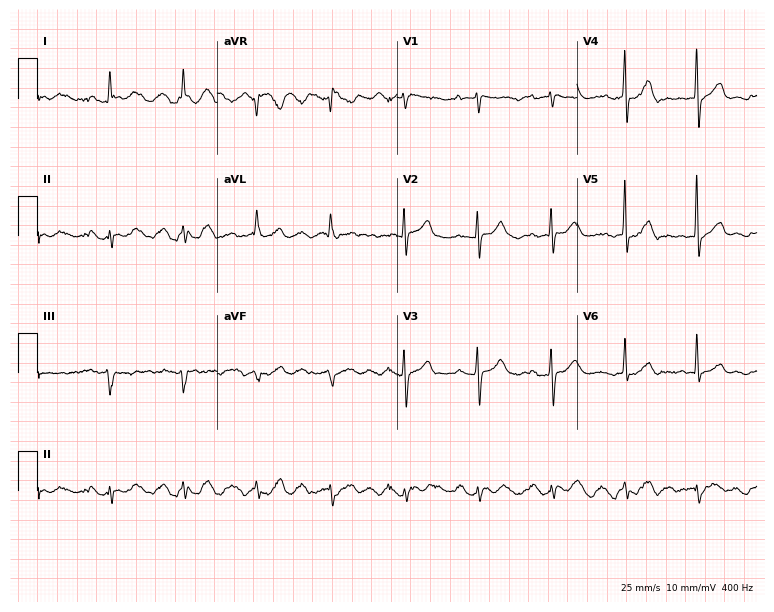
Resting 12-lead electrocardiogram (7.3-second recording at 400 Hz). Patient: an 85-year-old male. None of these six findings is recorded: first-degree AV block, right bundle branch block, left bundle branch block, sinus bradycardia, atrial fibrillation, sinus tachycardia. Other findings, if any, are not listed.